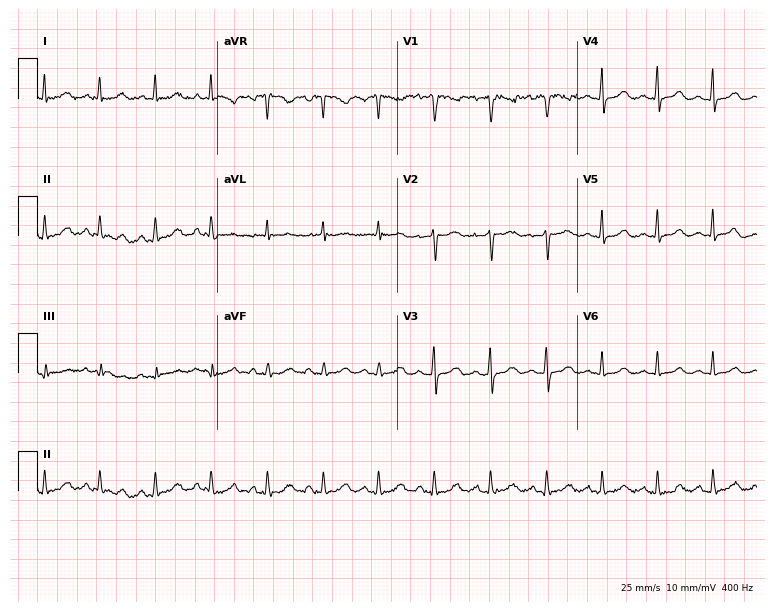
Resting 12-lead electrocardiogram (7.3-second recording at 400 Hz). Patient: a 40-year-old female. The tracing shows sinus tachycardia (a sinus rate of 100 beats per minute or more).